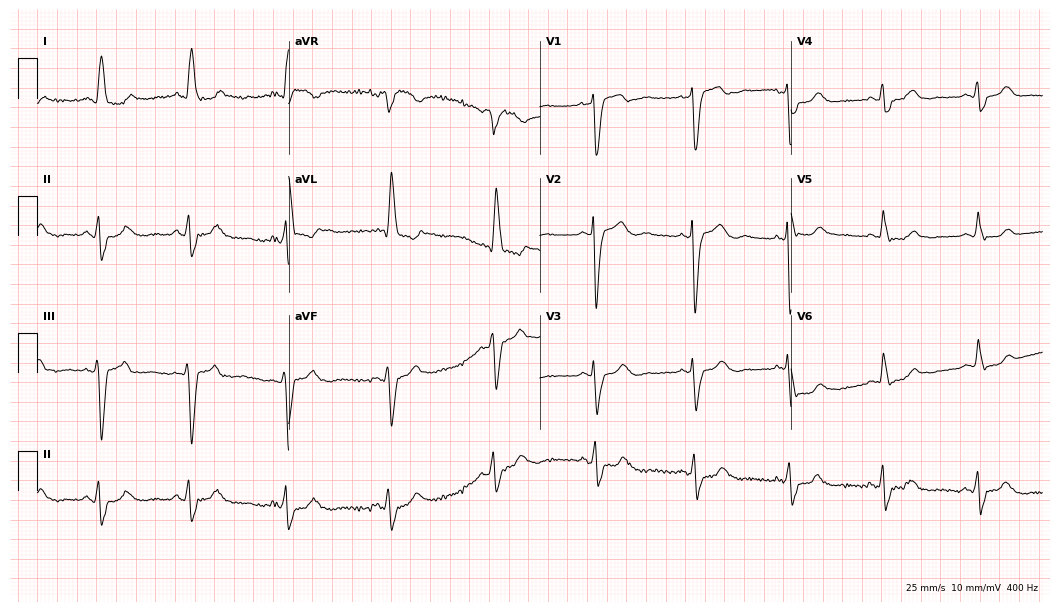
12-lead ECG from a female patient, 73 years old. Findings include left bundle branch block.